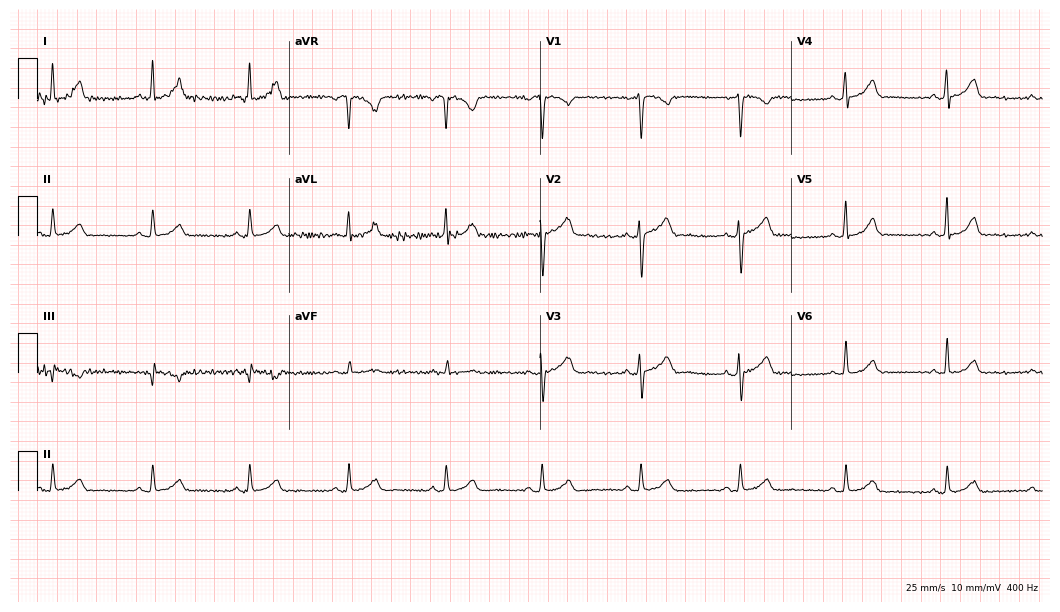
Standard 12-lead ECG recorded from a 40-year-old woman. Read as a normal ECG.